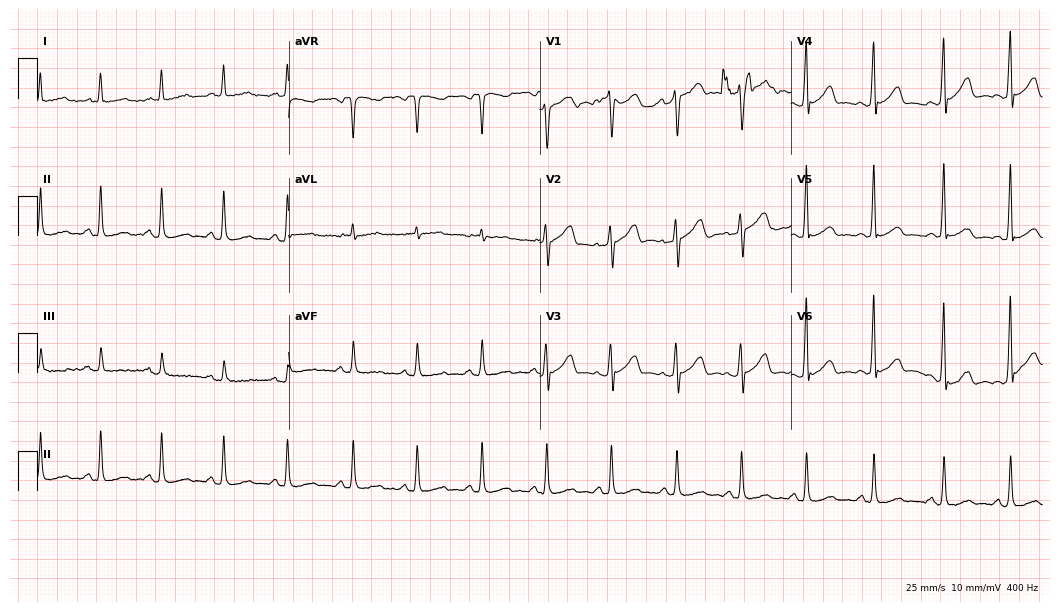
12-lead ECG from a woman, 51 years old (10.2-second recording at 400 Hz). No first-degree AV block, right bundle branch block, left bundle branch block, sinus bradycardia, atrial fibrillation or sinus tachycardia recorded for this tracing. Only these six findings were labelled.